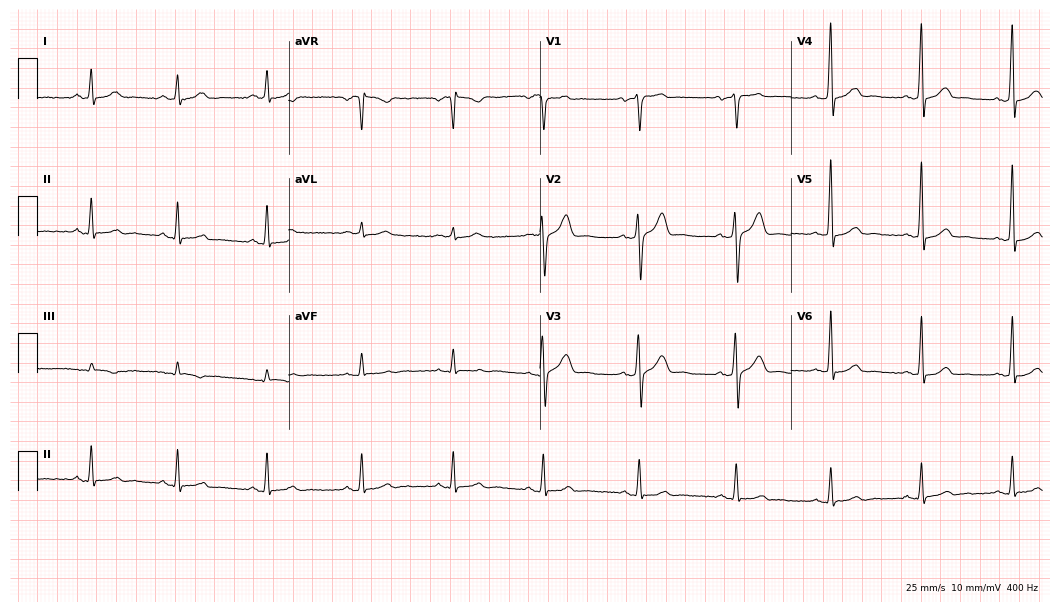
12-lead ECG from an 81-year-old male. Labelled as a normal ECG.